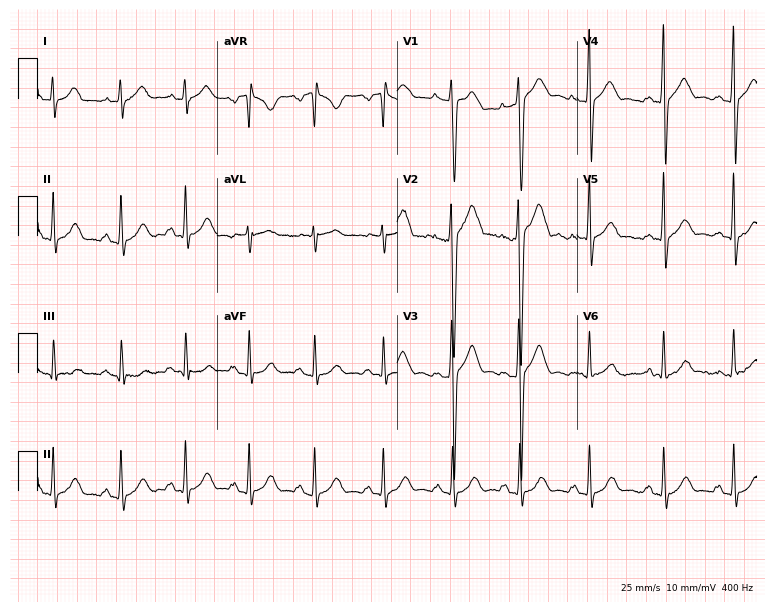
Resting 12-lead electrocardiogram (7.3-second recording at 400 Hz). Patient: a male, 17 years old. None of these six findings is recorded: first-degree AV block, right bundle branch block, left bundle branch block, sinus bradycardia, atrial fibrillation, sinus tachycardia. Findings outside these six are not listed.